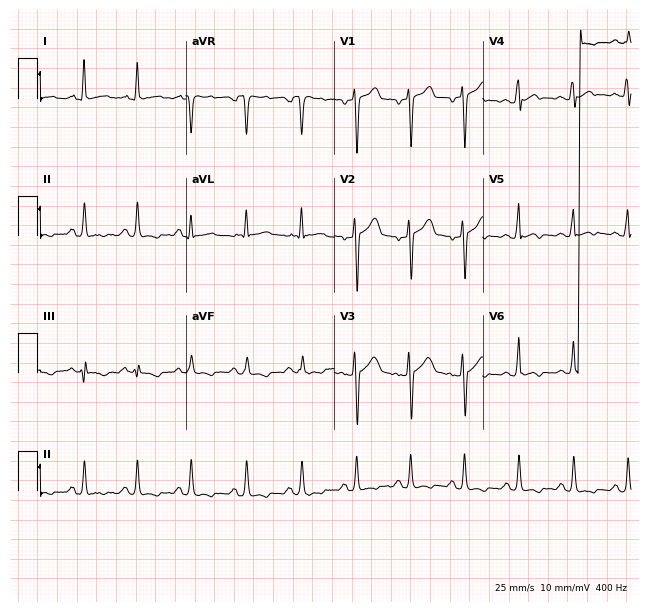
12-lead ECG from a male patient, 23 years old. No first-degree AV block, right bundle branch block (RBBB), left bundle branch block (LBBB), sinus bradycardia, atrial fibrillation (AF) or sinus tachycardia recorded for this tracing.